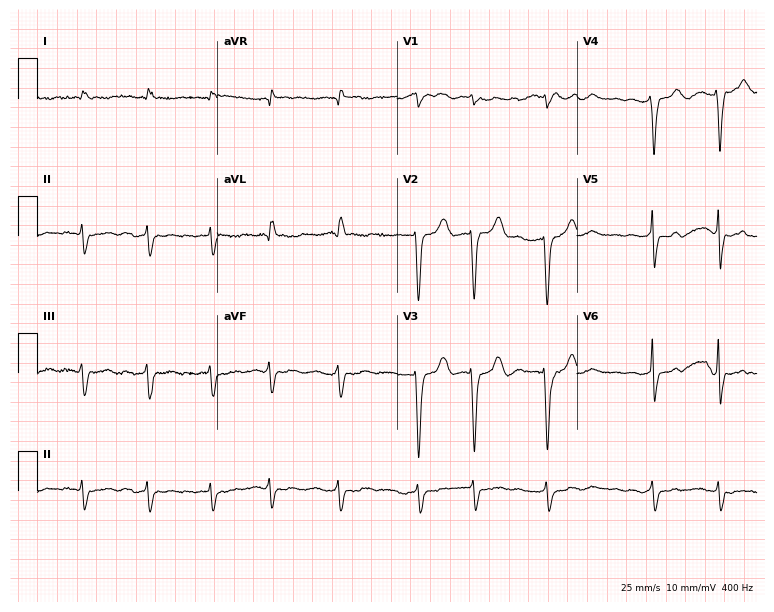
Resting 12-lead electrocardiogram. Patient: a 77-year-old female. None of these six findings is recorded: first-degree AV block, right bundle branch block, left bundle branch block, sinus bradycardia, atrial fibrillation, sinus tachycardia.